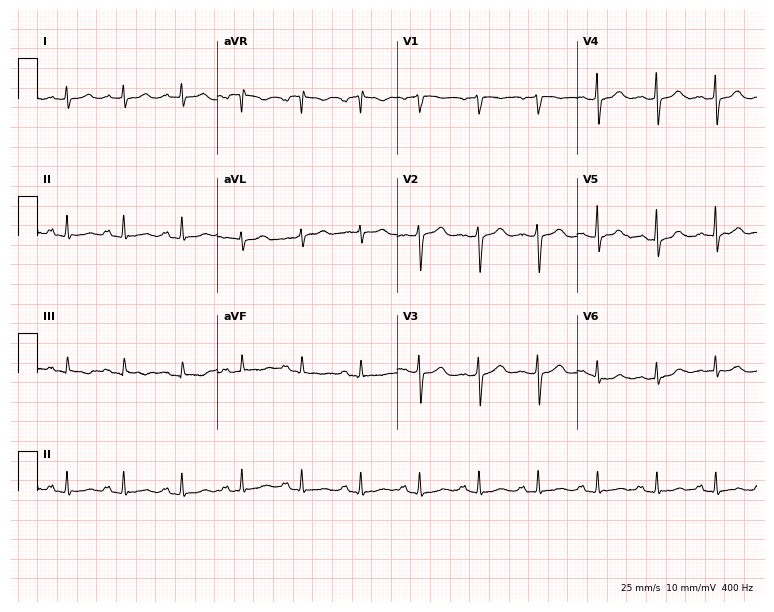
12-lead ECG (7.3-second recording at 400 Hz) from a female, 51 years old. Screened for six findings — first-degree AV block, right bundle branch block (RBBB), left bundle branch block (LBBB), sinus bradycardia, atrial fibrillation (AF), sinus tachycardia — none is recorded. Only these six findings were labelled.